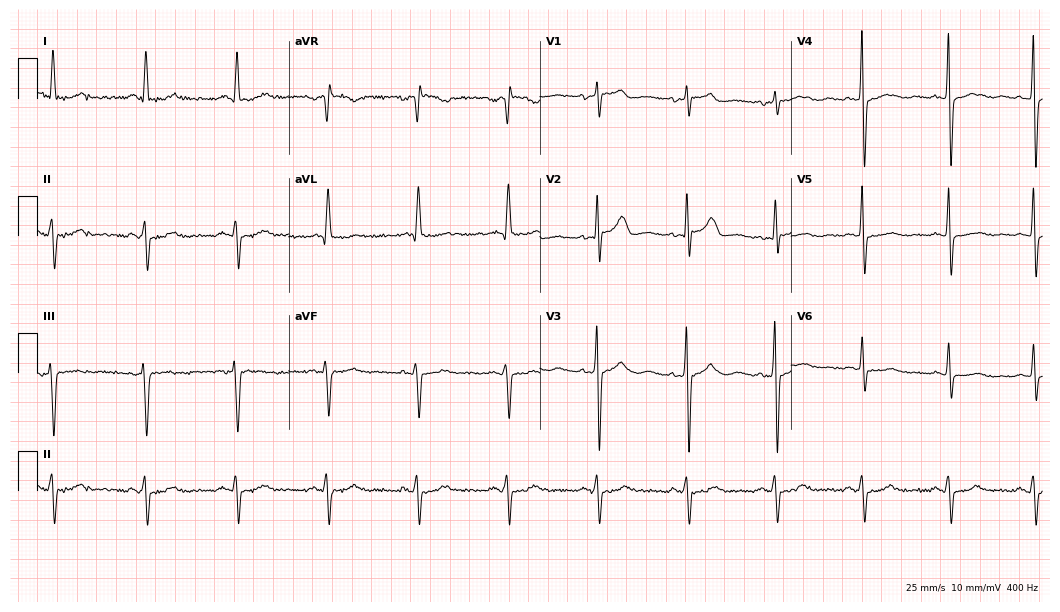
12-lead ECG from a female patient, 74 years old. No first-degree AV block, right bundle branch block, left bundle branch block, sinus bradycardia, atrial fibrillation or sinus tachycardia recorded for this tracing.